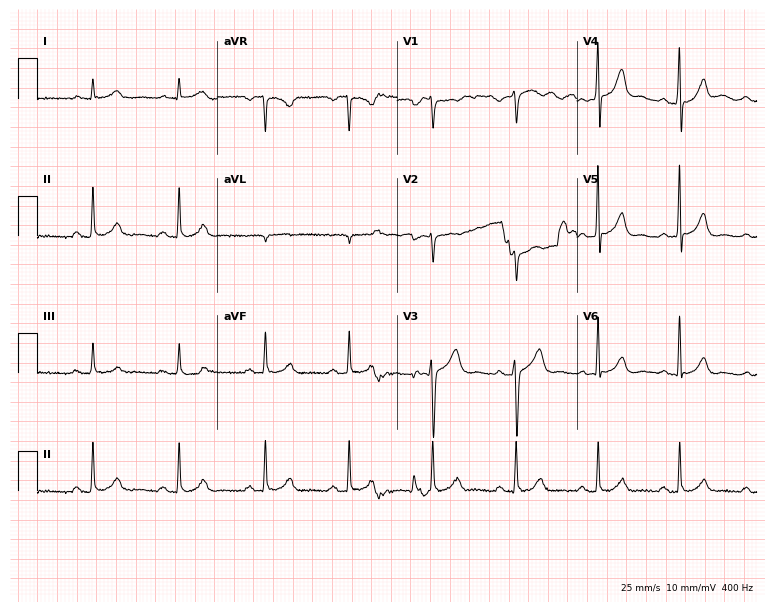
ECG (7.3-second recording at 400 Hz) — a 47-year-old man. Labelled as a normal ECG.